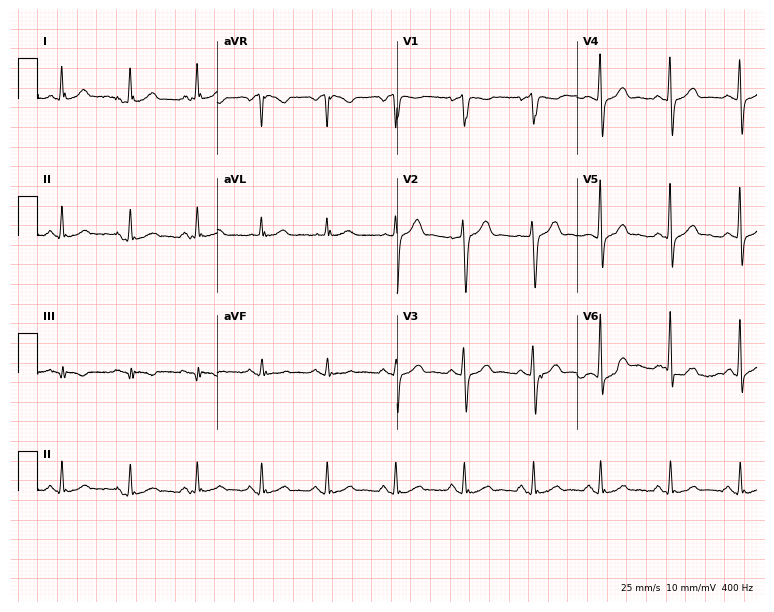
Resting 12-lead electrocardiogram (7.3-second recording at 400 Hz). Patient: a male, 56 years old. None of these six findings is recorded: first-degree AV block, right bundle branch block (RBBB), left bundle branch block (LBBB), sinus bradycardia, atrial fibrillation (AF), sinus tachycardia.